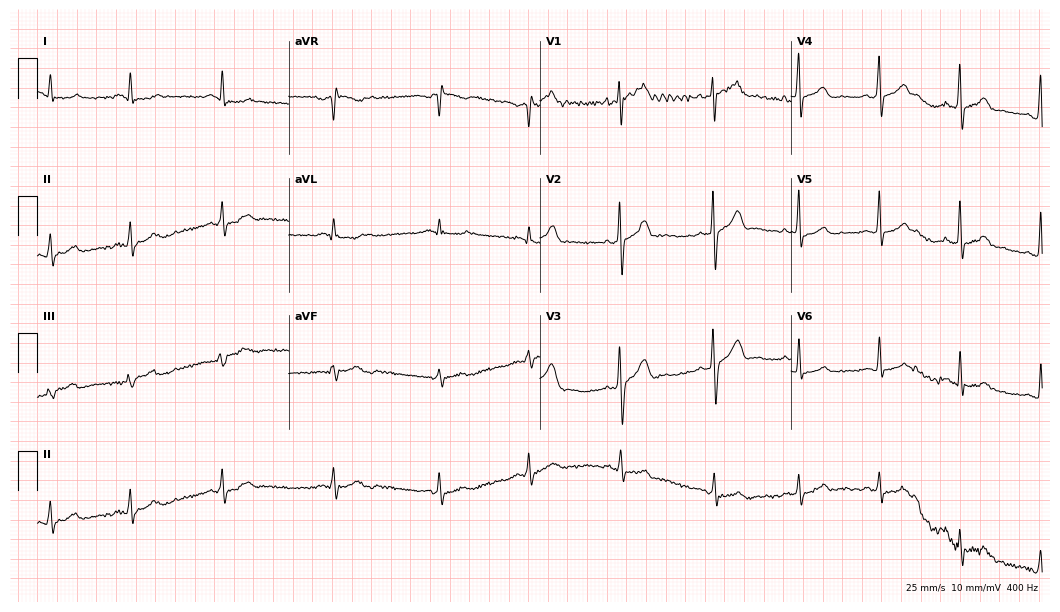
Electrocardiogram (10.2-second recording at 400 Hz), a male patient, 24 years old. Of the six screened findings (first-degree AV block, right bundle branch block, left bundle branch block, sinus bradycardia, atrial fibrillation, sinus tachycardia), none is recorded. Only these six findings were labelled.